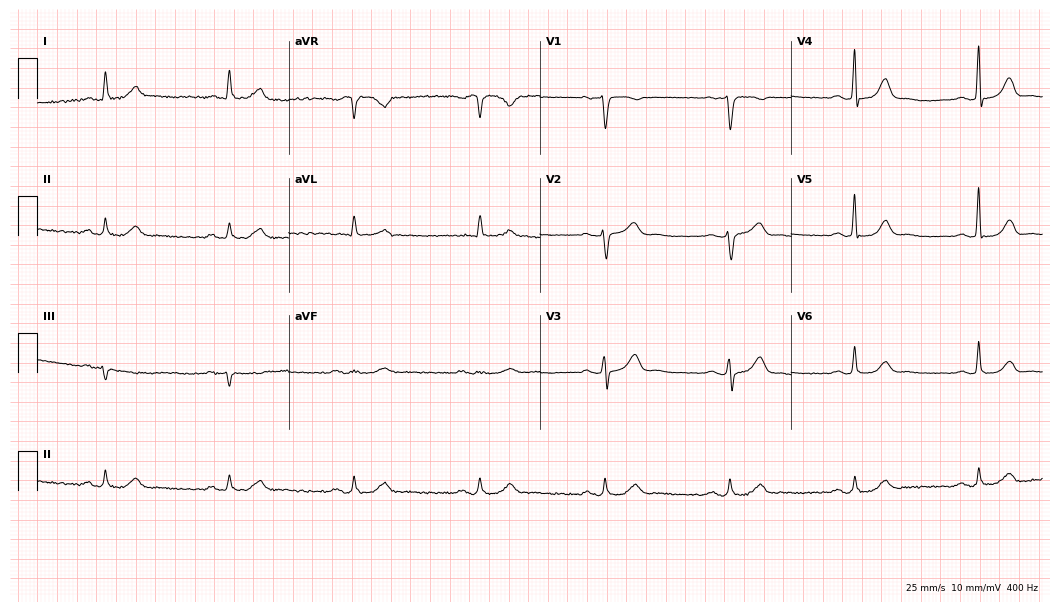
12-lead ECG from a 65-year-old man. Findings include sinus bradycardia (a sinus rate of 50 beats per minute or less).